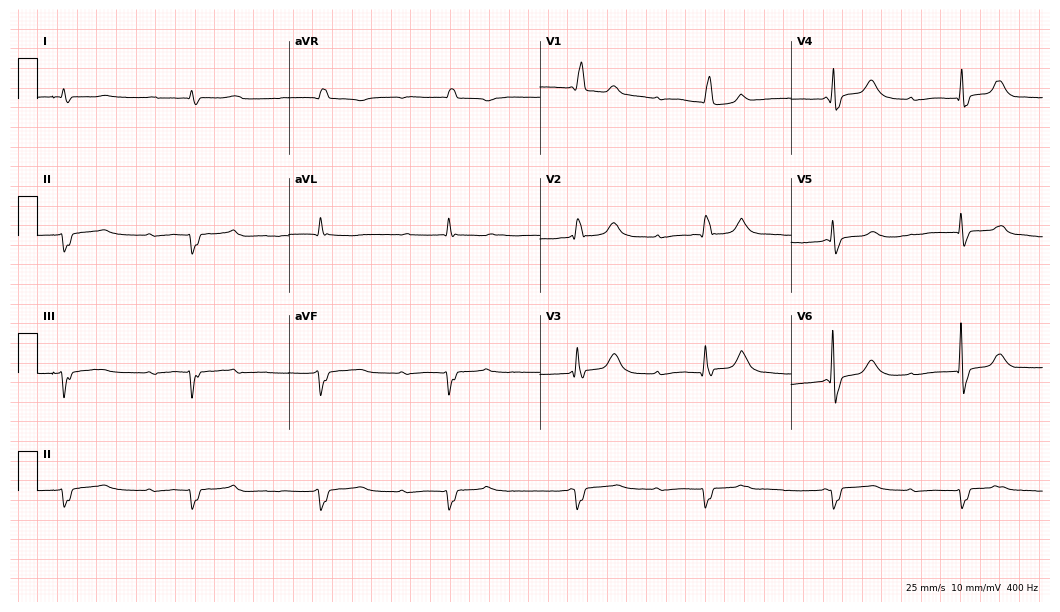
Standard 12-lead ECG recorded from a female patient, 79 years old (10.2-second recording at 400 Hz). The tracing shows first-degree AV block, sinus bradycardia (a sinus rate of 50 beats per minute or less).